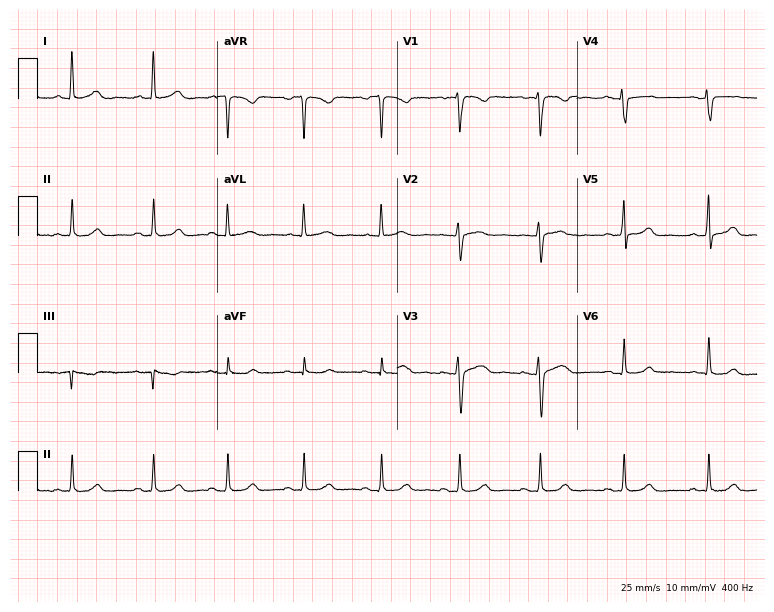
ECG (7.3-second recording at 400 Hz) — a female, 43 years old. Labelled as a normal ECG.